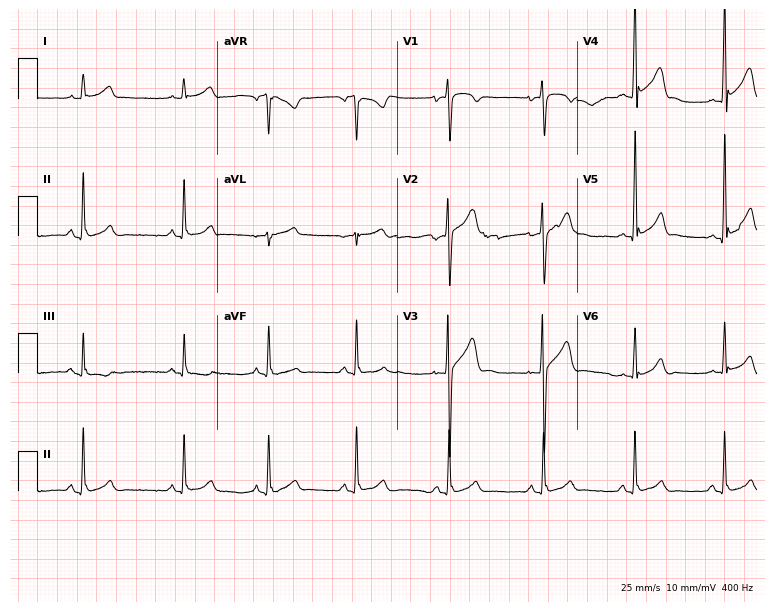
Resting 12-lead electrocardiogram (7.3-second recording at 400 Hz). Patient: a male, 27 years old. None of these six findings is recorded: first-degree AV block, right bundle branch block, left bundle branch block, sinus bradycardia, atrial fibrillation, sinus tachycardia. Other findings, if any, are not listed.